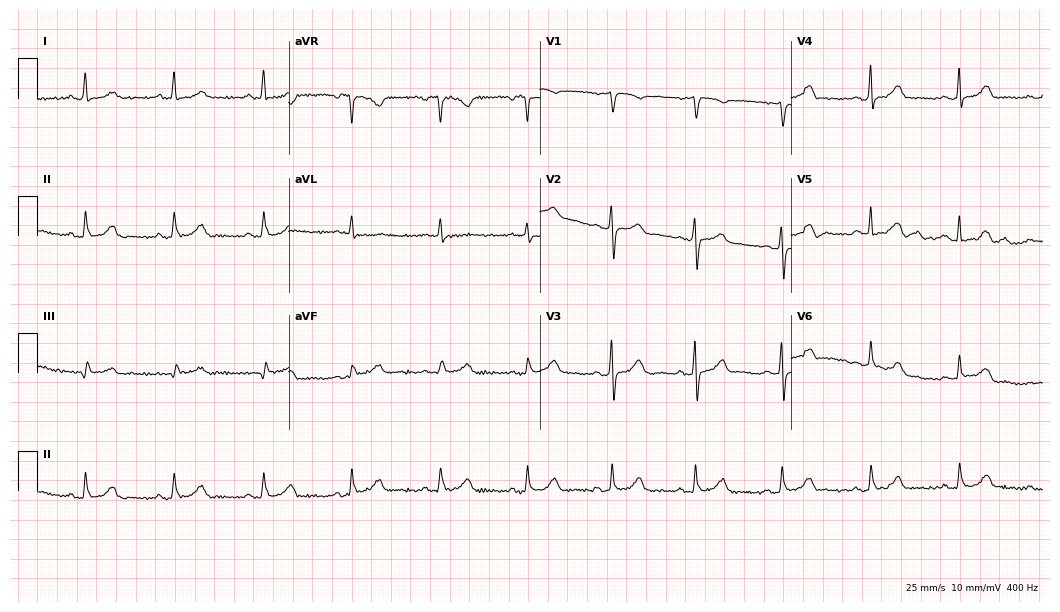
12-lead ECG from a female, 56 years old. Labelled as a normal ECG.